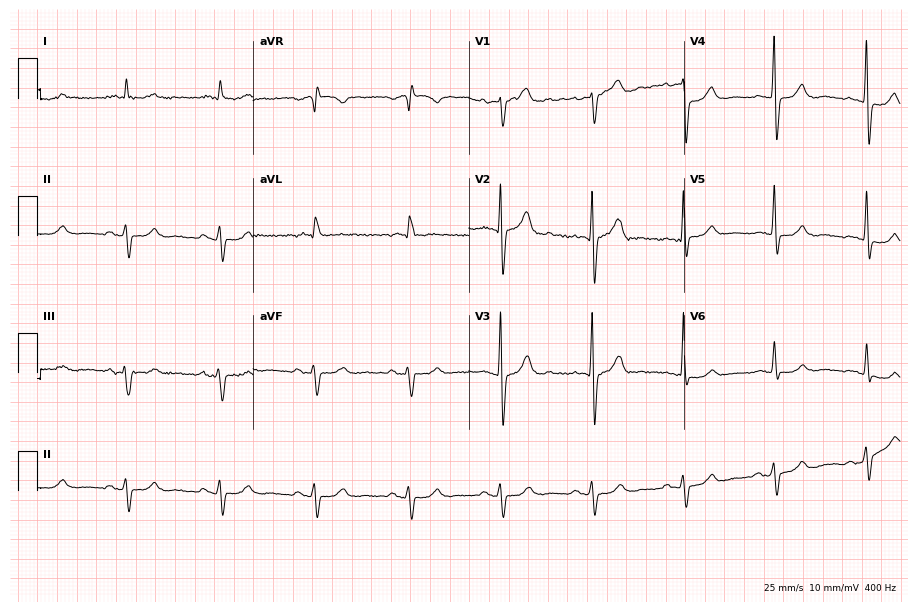
12-lead ECG from a male patient, 75 years old (8.8-second recording at 400 Hz). No first-degree AV block, right bundle branch block, left bundle branch block, sinus bradycardia, atrial fibrillation or sinus tachycardia recorded for this tracing. Other findings, if any, are not listed.